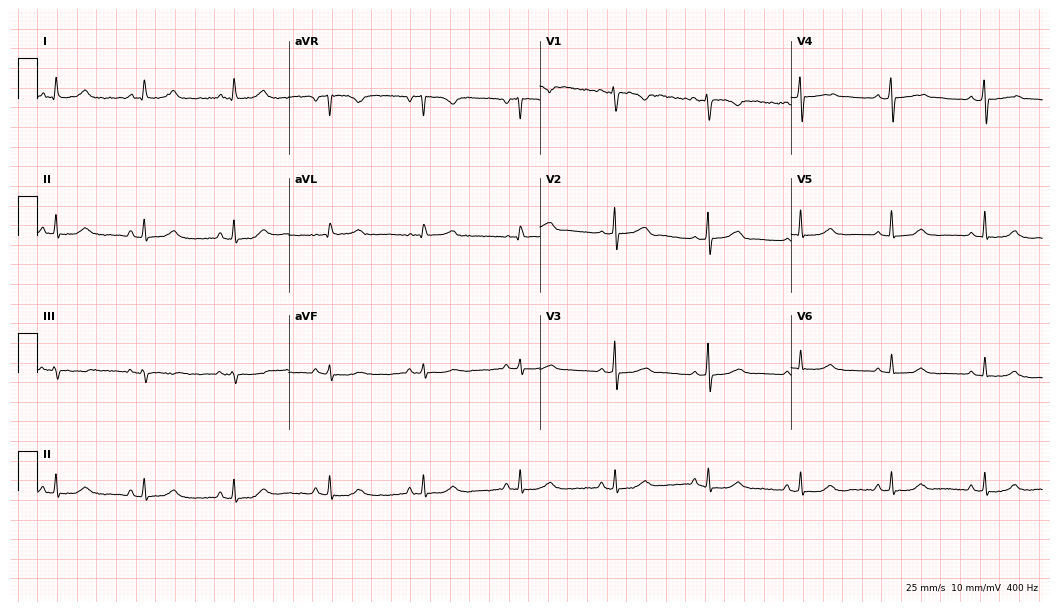
12-lead ECG from a female patient, 54 years old. Recorded interpretation: within normal limits.